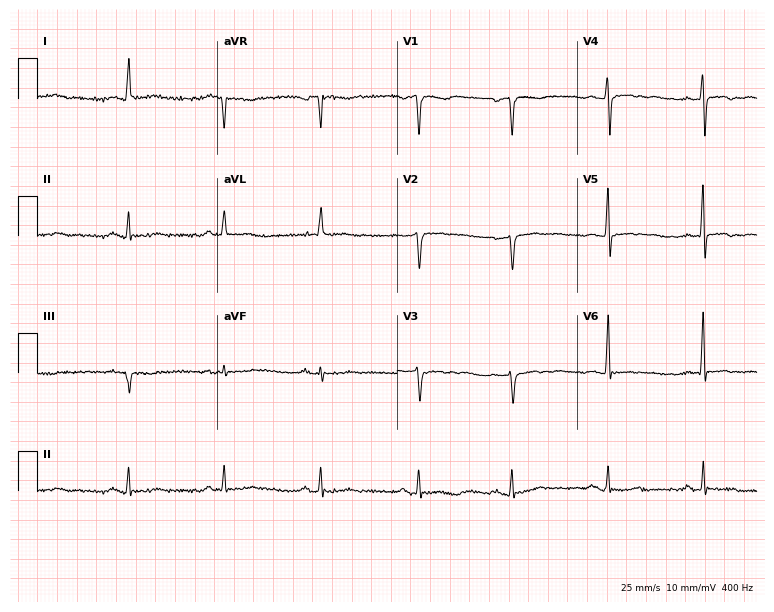
12-lead ECG from a 60-year-old male (7.3-second recording at 400 Hz). No first-degree AV block, right bundle branch block, left bundle branch block, sinus bradycardia, atrial fibrillation or sinus tachycardia recorded for this tracing. Only these six findings were labelled.